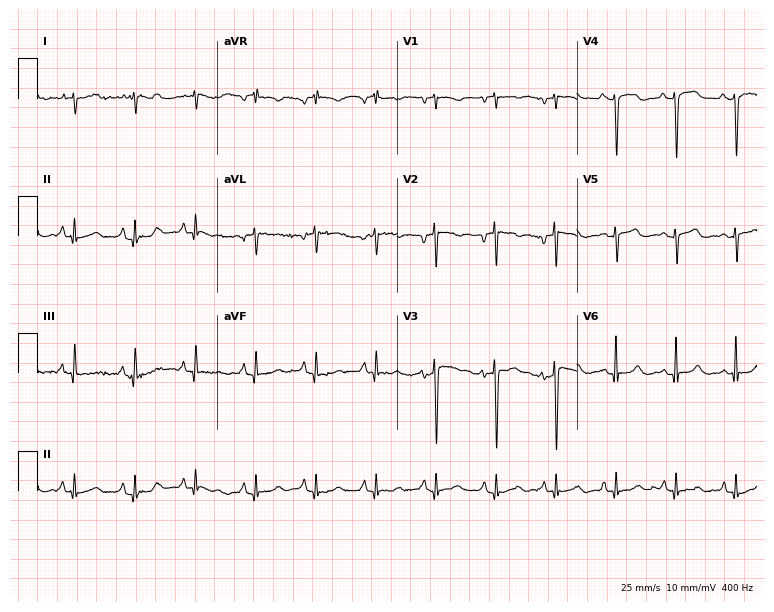
ECG — a woman, 77 years old. Screened for six findings — first-degree AV block, right bundle branch block (RBBB), left bundle branch block (LBBB), sinus bradycardia, atrial fibrillation (AF), sinus tachycardia — none is recorded.